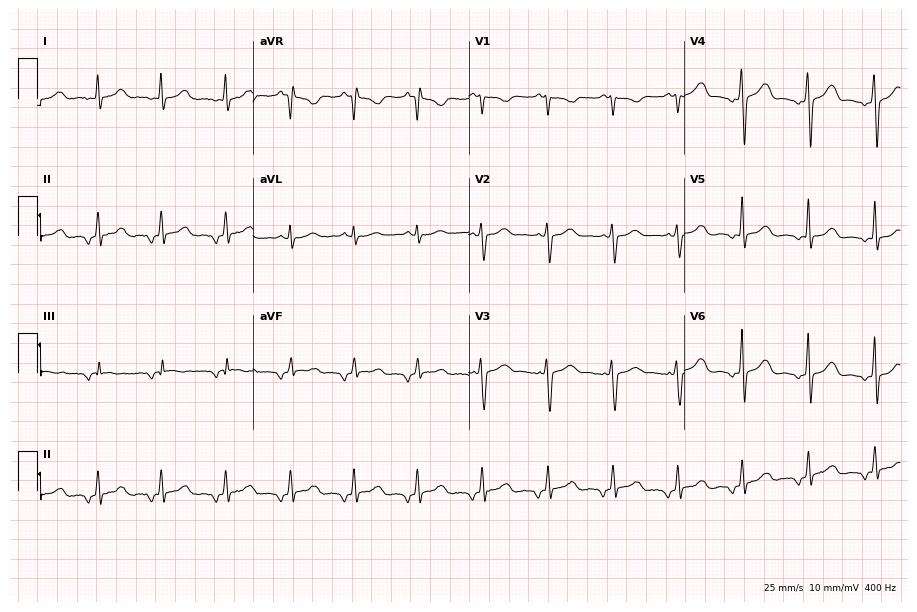
12-lead ECG from a 33-year-old female (8.8-second recording at 400 Hz). No first-degree AV block, right bundle branch block, left bundle branch block, sinus bradycardia, atrial fibrillation or sinus tachycardia recorded for this tracing.